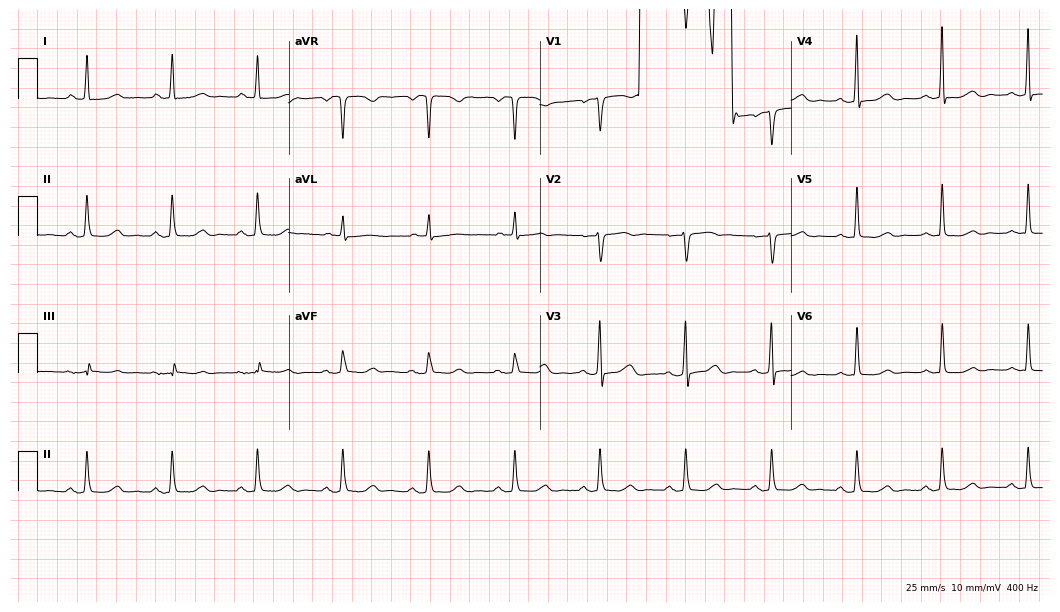
12-lead ECG from a woman, 72 years old (10.2-second recording at 400 Hz). No first-degree AV block, right bundle branch block, left bundle branch block, sinus bradycardia, atrial fibrillation or sinus tachycardia recorded for this tracing. Findings outside these six are not listed.